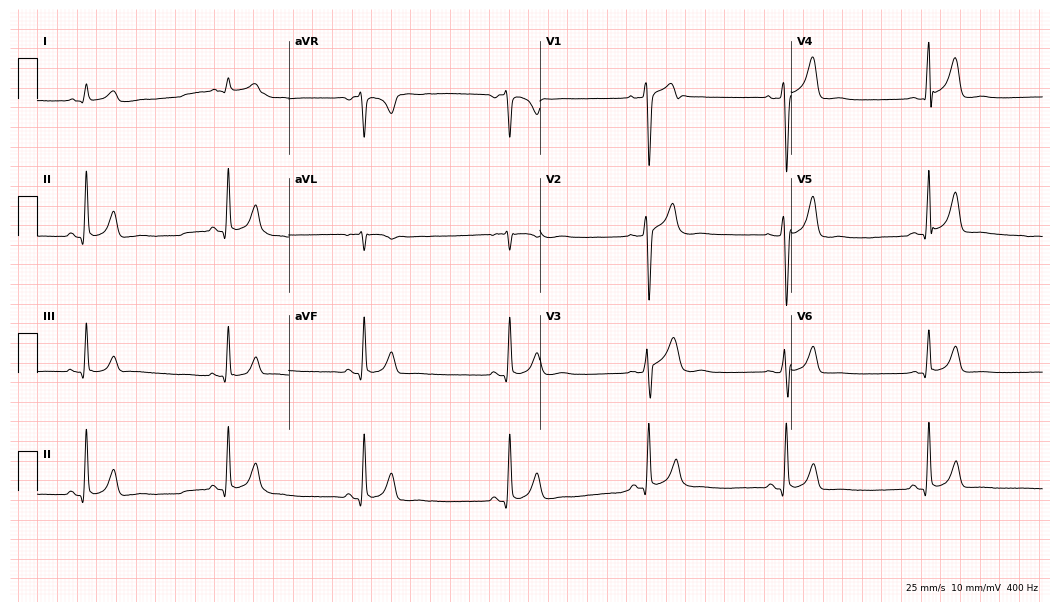
ECG (10.2-second recording at 400 Hz) — a 32-year-old male. Findings include sinus bradycardia (a sinus rate of 50 beats per minute or less).